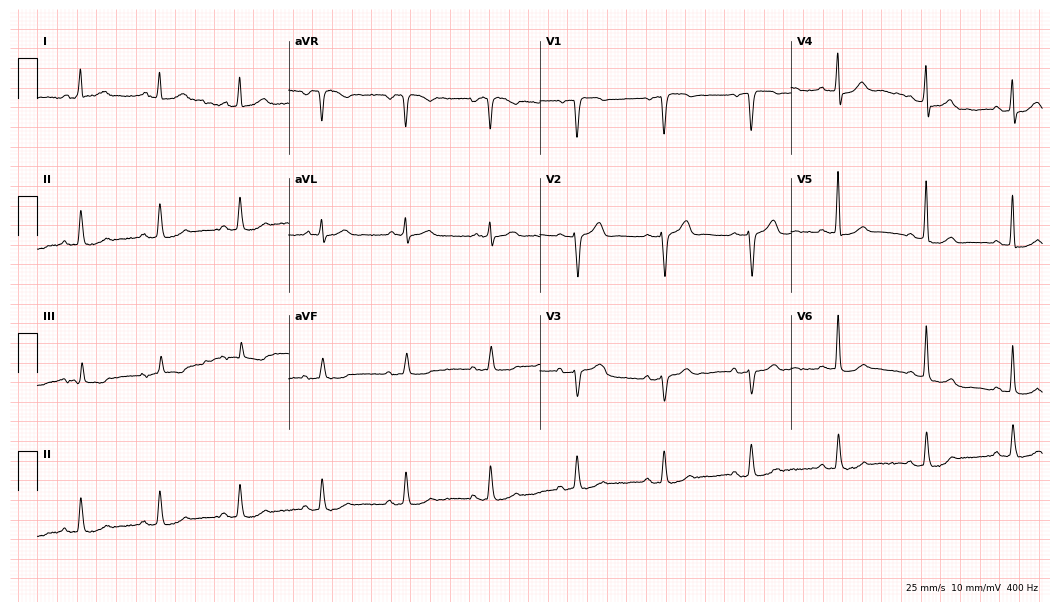
12-lead ECG (10.2-second recording at 400 Hz) from a male patient, 67 years old. Screened for six findings — first-degree AV block, right bundle branch block, left bundle branch block, sinus bradycardia, atrial fibrillation, sinus tachycardia — none is recorded. Only these six findings were labelled.